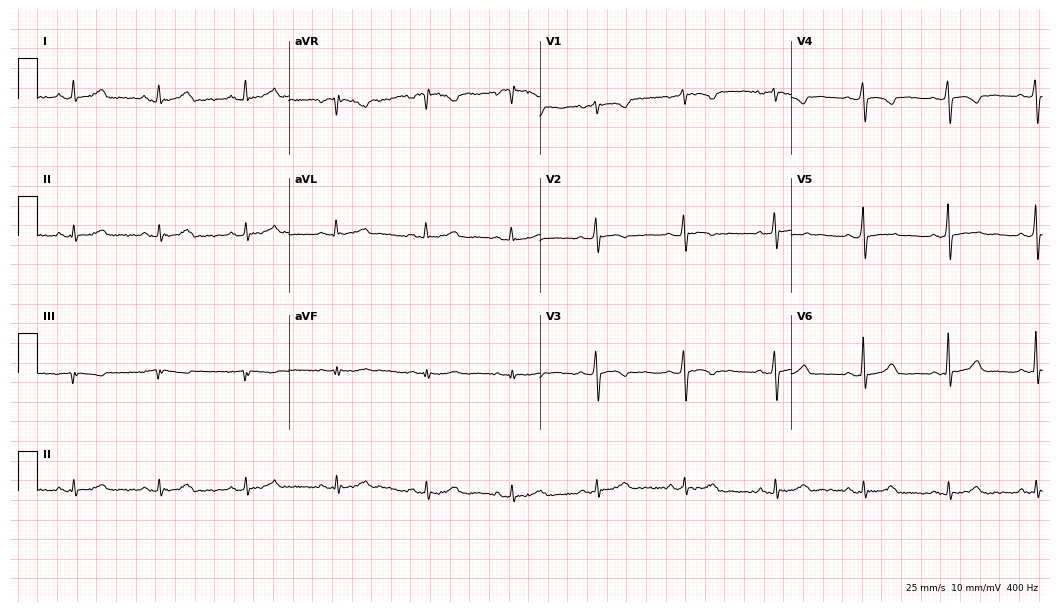
12-lead ECG from a 23-year-old female patient. No first-degree AV block, right bundle branch block, left bundle branch block, sinus bradycardia, atrial fibrillation or sinus tachycardia recorded for this tracing. Only these six findings were labelled.